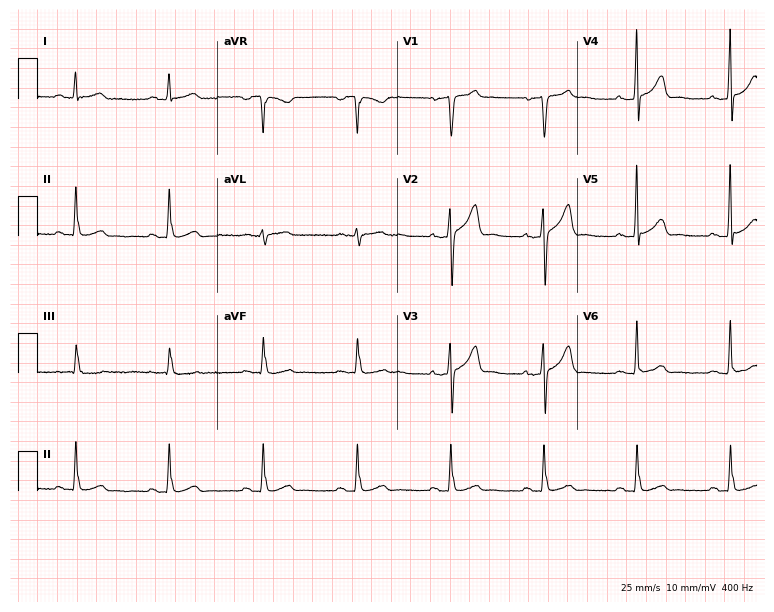
Electrocardiogram, a male patient, 58 years old. Overall reading on record: normal ECG.